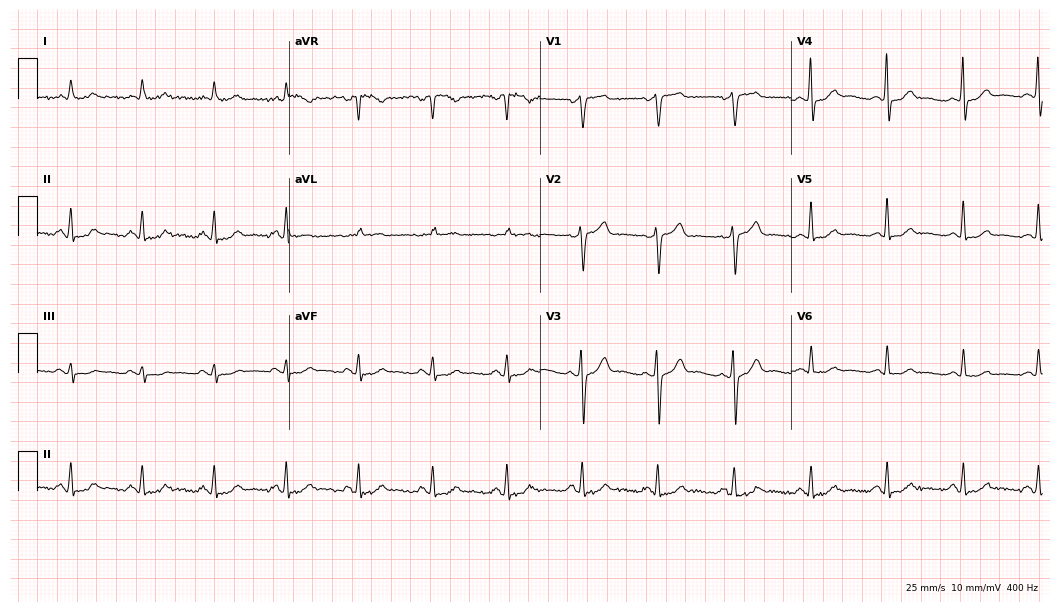
12-lead ECG from a 74-year-old male patient (10.2-second recording at 400 Hz). No first-degree AV block, right bundle branch block, left bundle branch block, sinus bradycardia, atrial fibrillation or sinus tachycardia recorded for this tracing. Only these six findings were labelled.